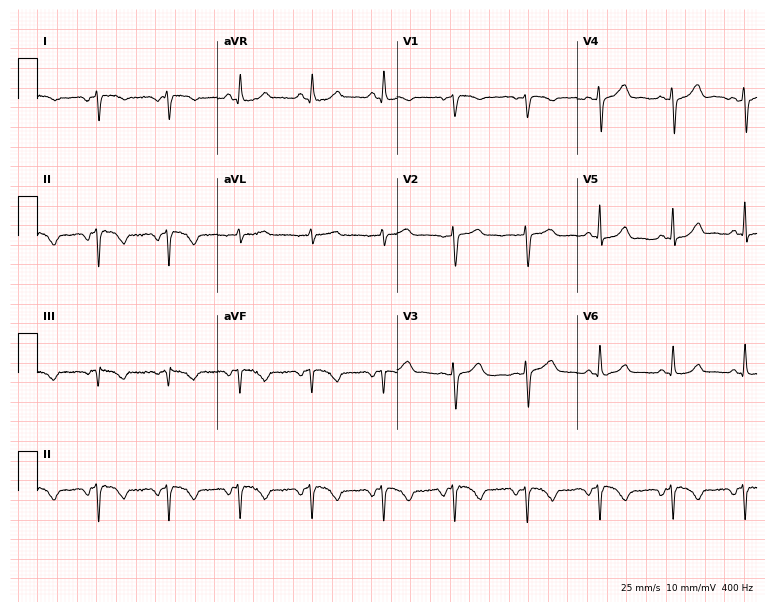
Resting 12-lead electrocardiogram. Patient: a female, 61 years old. None of these six findings is recorded: first-degree AV block, right bundle branch block (RBBB), left bundle branch block (LBBB), sinus bradycardia, atrial fibrillation (AF), sinus tachycardia.